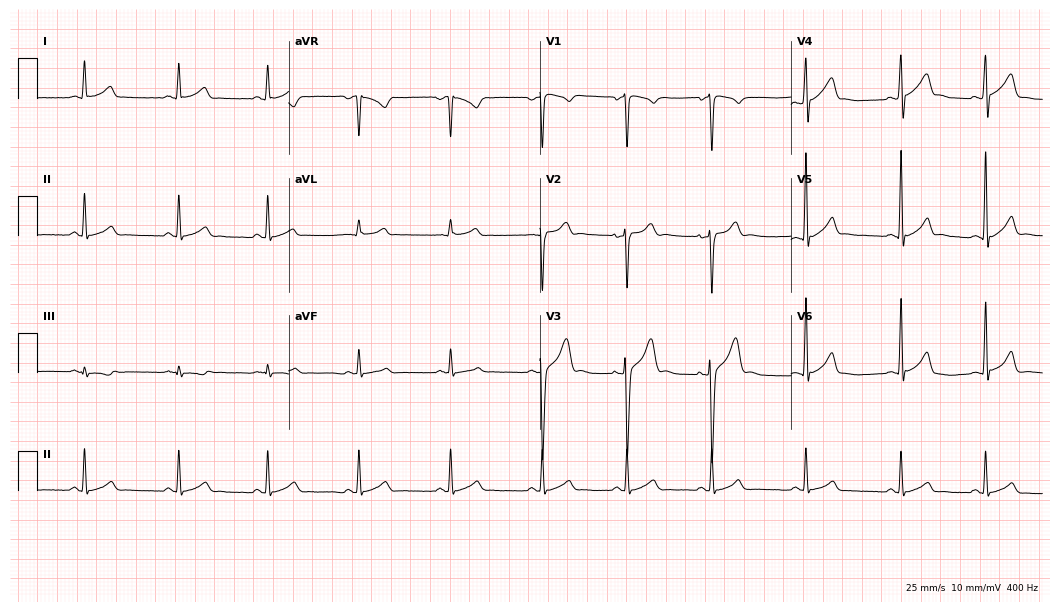
12-lead ECG from a male patient, 30 years old. Labelled as a normal ECG.